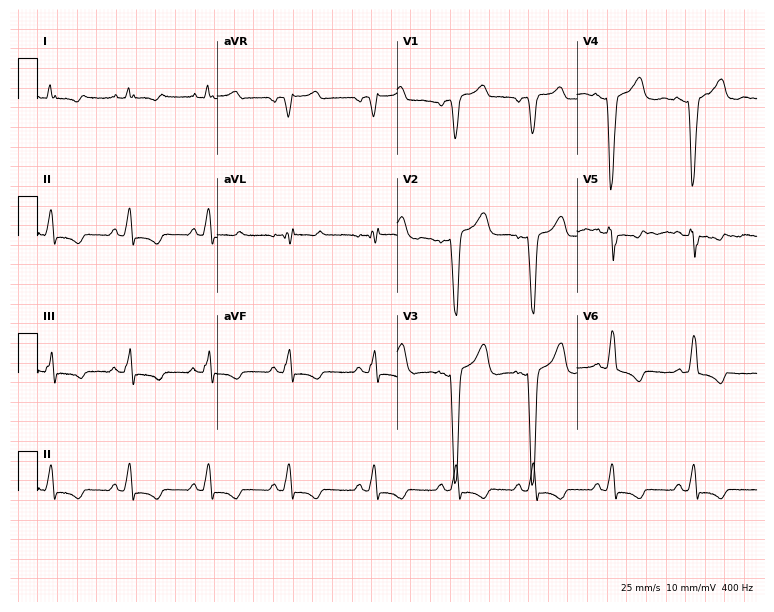
12-lead ECG from a female, 47 years old (7.3-second recording at 400 Hz). No first-degree AV block, right bundle branch block, left bundle branch block, sinus bradycardia, atrial fibrillation or sinus tachycardia recorded for this tracing. Findings outside these six are not listed.